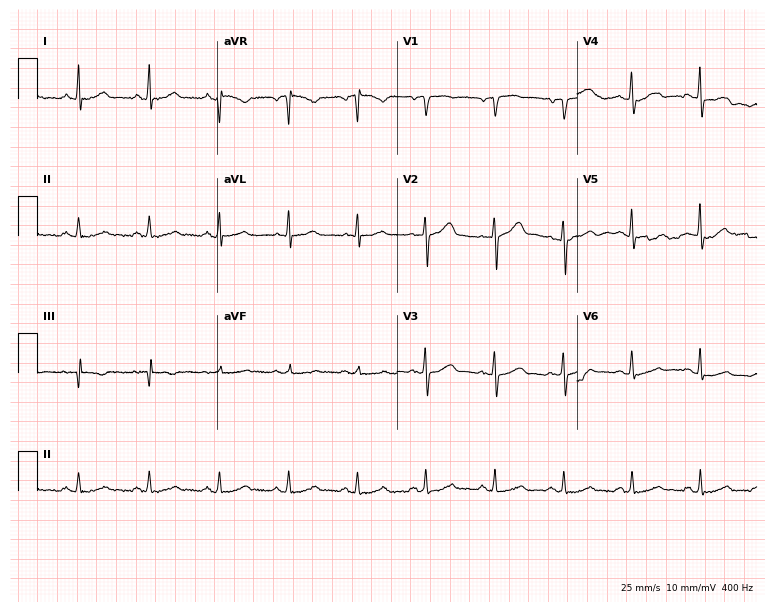
Standard 12-lead ECG recorded from a 49-year-old female patient. Read as a normal ECG.